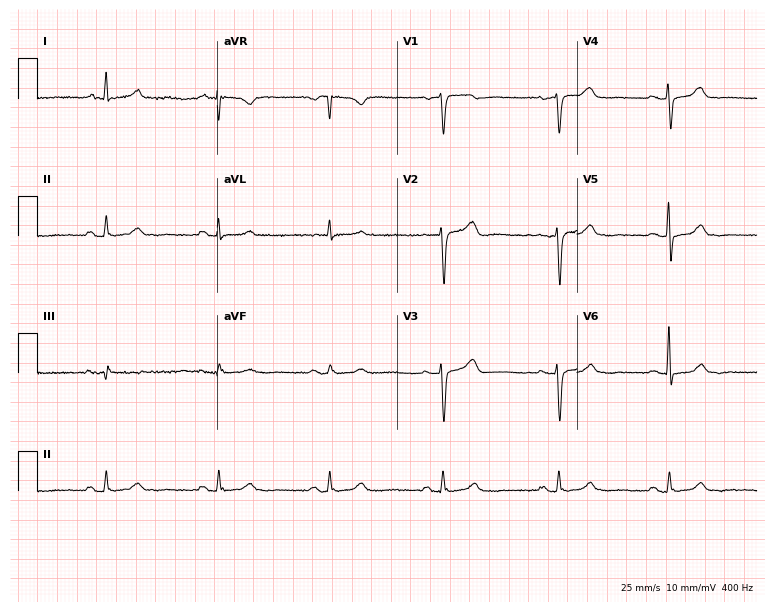
12-lead ECG (7.3-second recording at 400 Hz) from a man, 76 years old. Labelled as a normal ECG.